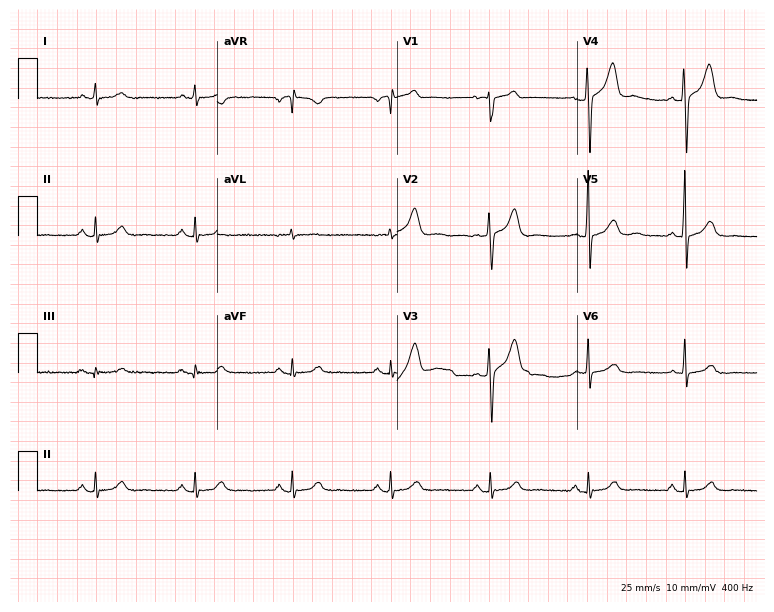
Electrocardiogram (7.3-second recording at 400 Hz), a 56-year-old male. Overall reading on record: normal ECG.